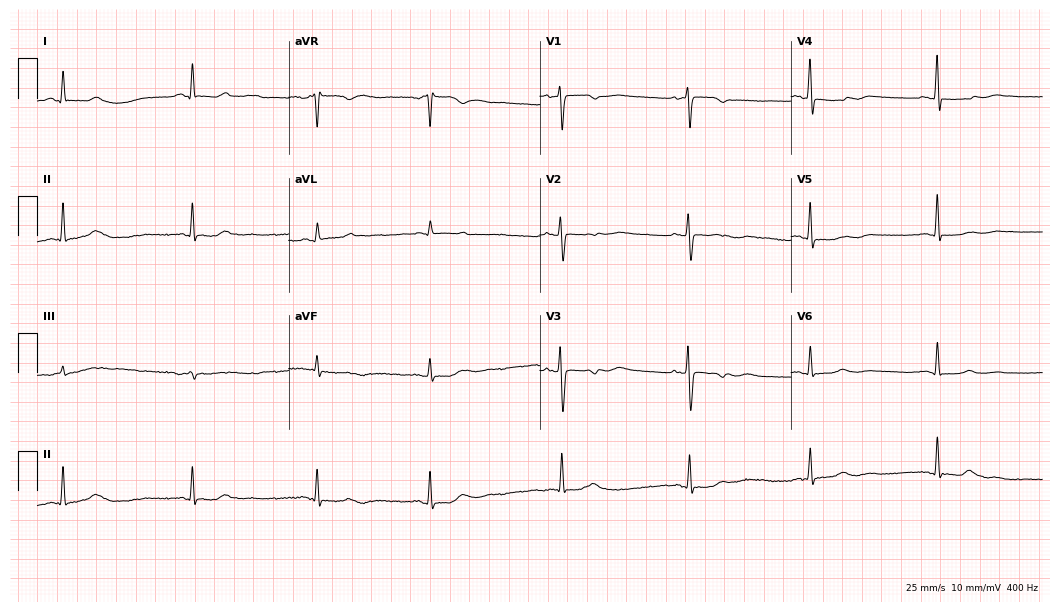
Standard 12-lead ECG recorded from a woman, 72 years old. None of these six findings is recorded: first-degree AV block, right bundle branch block, left bundle branch block, sinus bradycardia, atrial fibrillation, sinus tachycardia. Other findings, if any, are not listed.